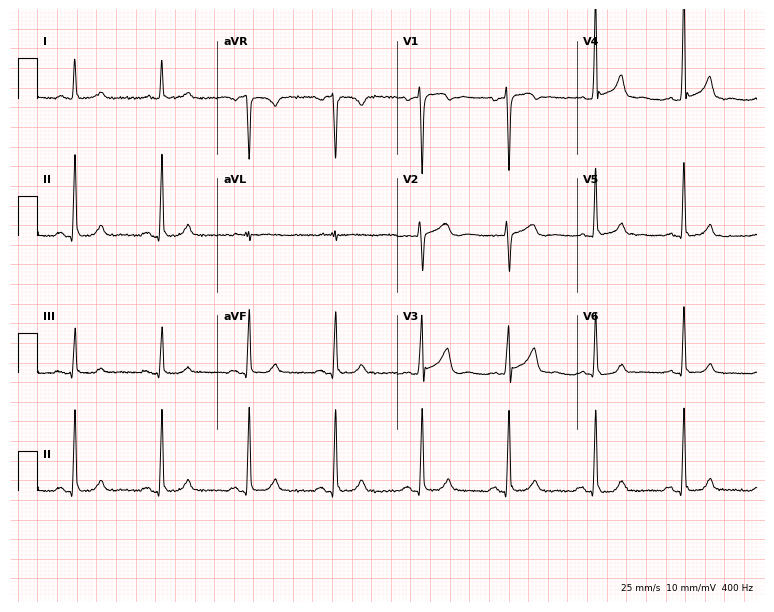
ECG (7.3-second recording at 400 Hz) — a man, 51 years old. Labelled as a normal ECG.